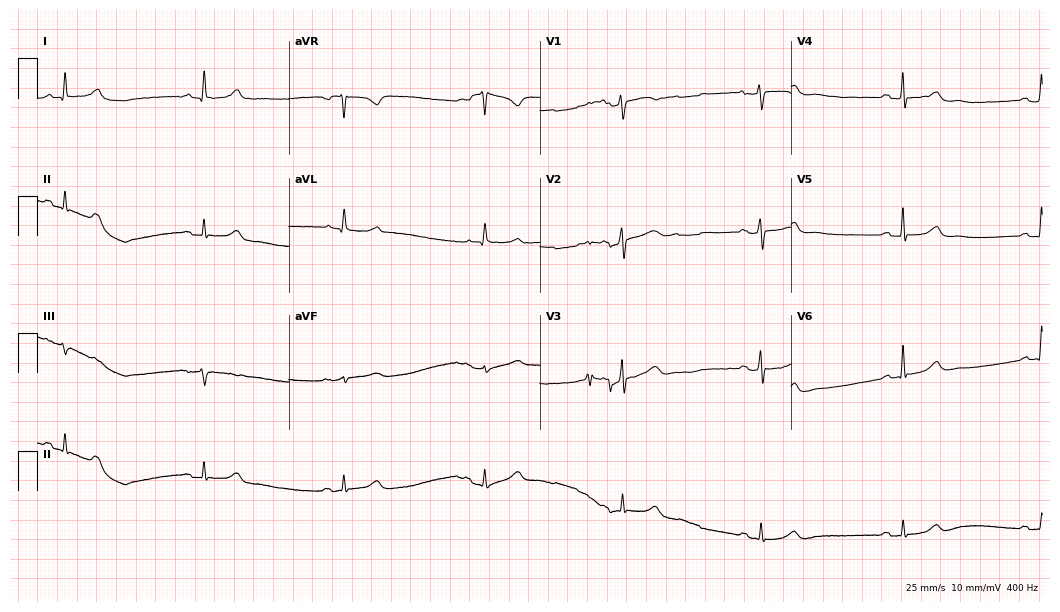
12-lead ECG from a 72-year-old female patient. Shows atrial fibrillation (AF).